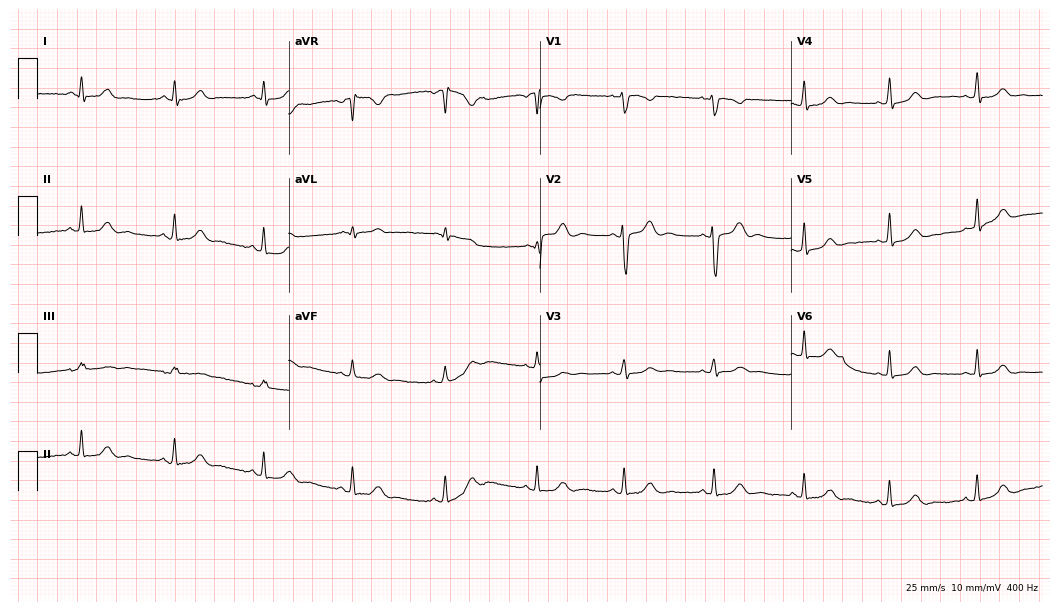
12-lead ECG from a 28-year-old female patient (10.2-second recording at 400 Hz). Recorded interpretation: within normal limits.